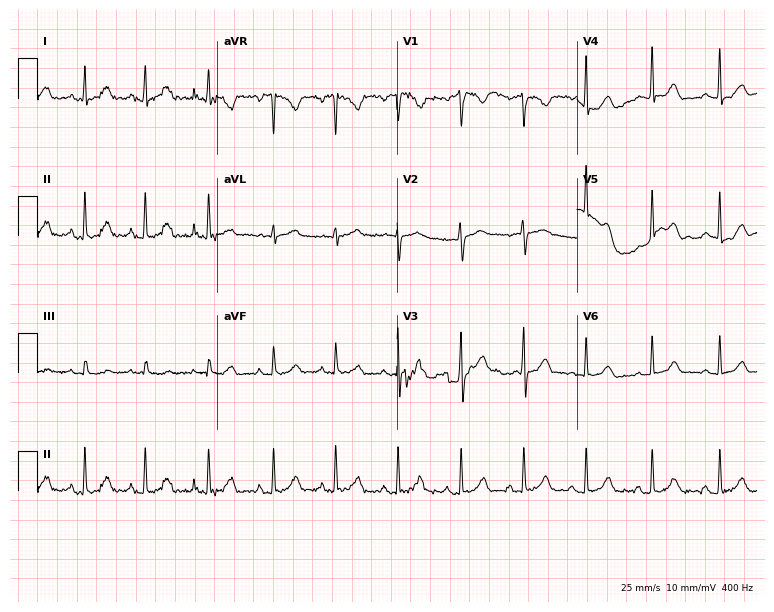
12-lead ECG from a female, 25 years old (7.3-second recording at 400 Hz). Recorded interpretation: within normal limits.